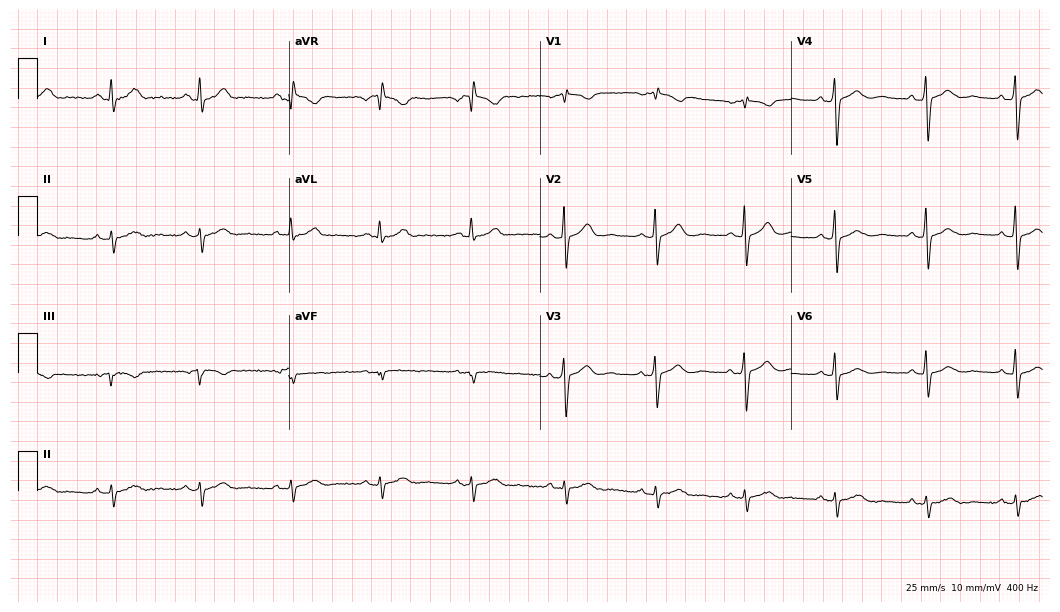
Resting 12-lead electrocardiogram. Patient: a 64-year-old male. None of these six findings is recorded: first-degree AV block, right bundle branch block (RBBB), left bundle branch block (LBBB), sinus bradycardia, atrial fibrillation (AF), sinus tachycardia. Other findings, if any, are not listed.